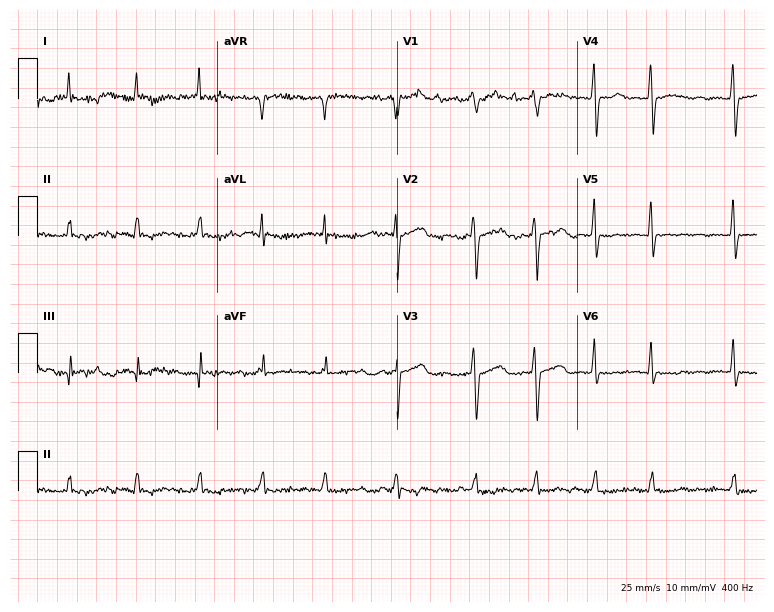
12-lead ECG from a 60-year-old female. Shows atrial fibrillation.